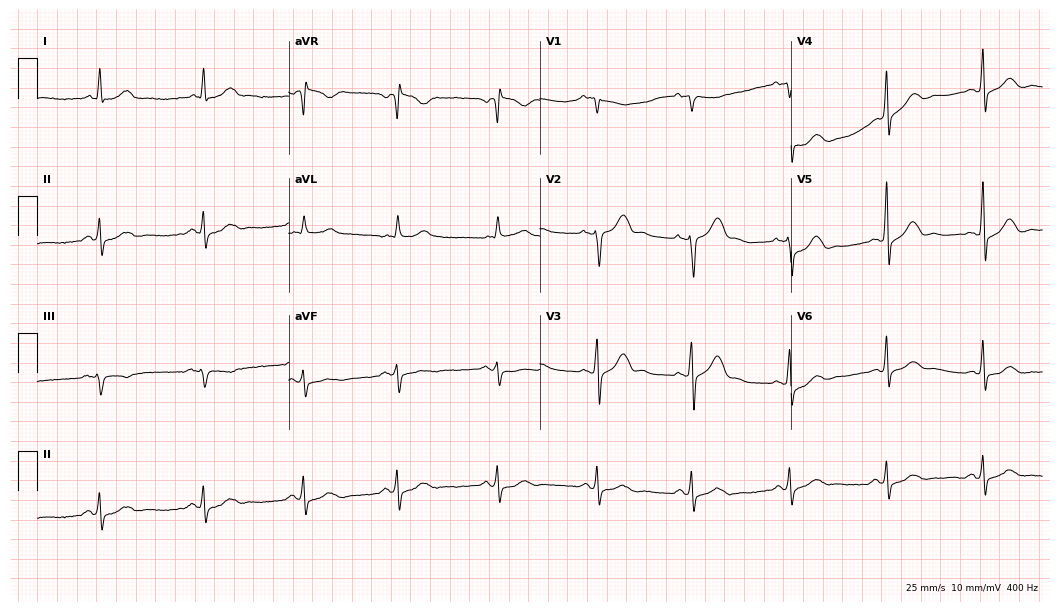
ECG — a 62-year-old male. Screened for six findings — first-degree AV block, right bundle branch block, left bundle branch block, sinus bradycardia, atrial fibrillation, sinus tachycardia — none is recorded. Only these six findings were labelled.